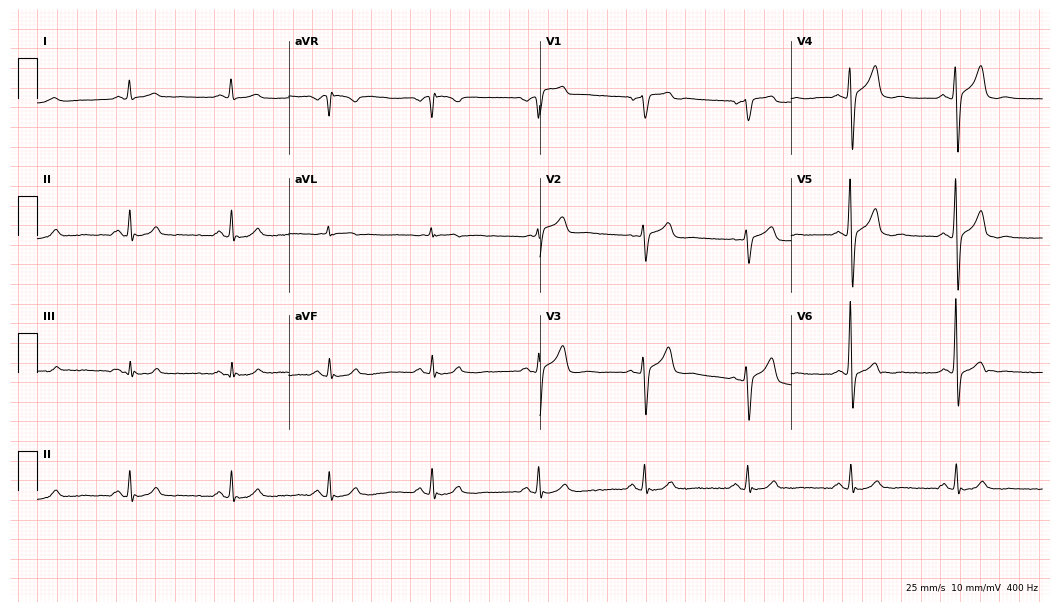
Electrocardiogram (10.2-second recording at 400 Hz), a man, 71 years old. Of the six screened findings (first-degree AV block, right bundle branch block (RBBB), left bundle branch block (LBBB), sinus bradycardia, atrial fibrillation (AF), sinus tachycardia), none is recorded.